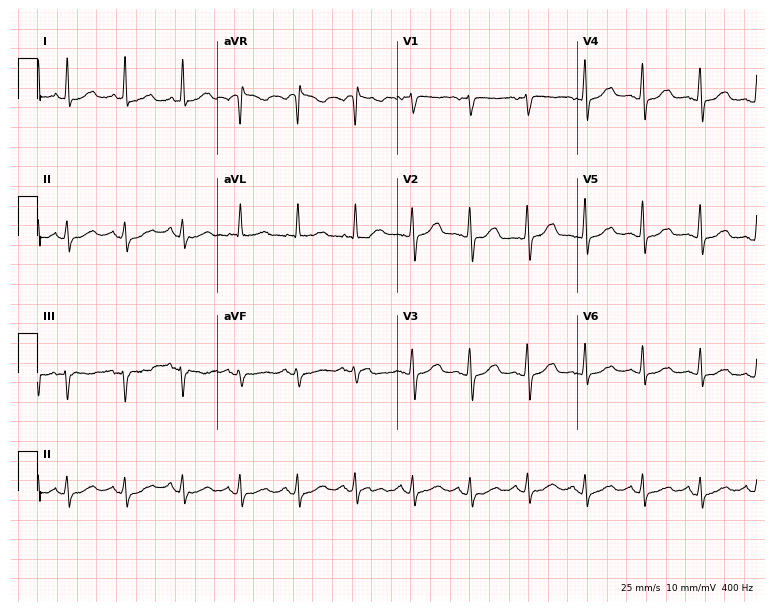
ECG — a 69-year-old female patient. Findings include sinus tachycardia (a sinus rate of 100 beats per minute or more).